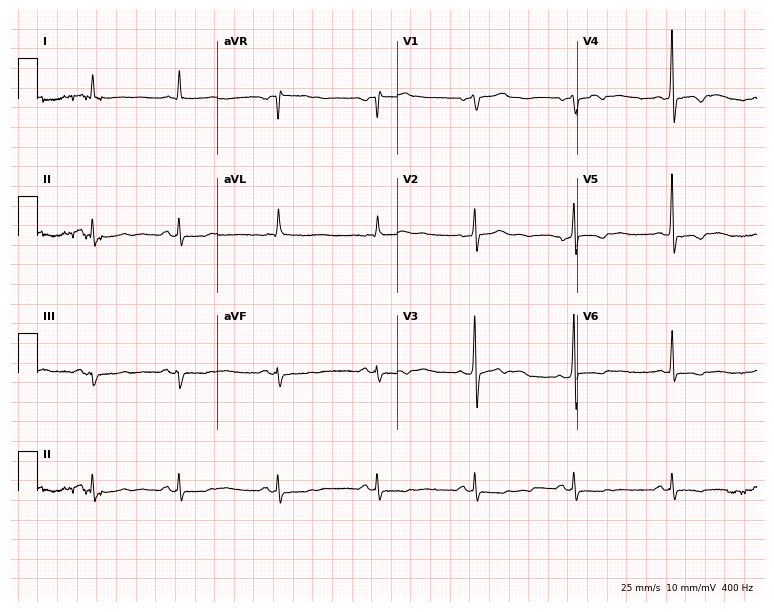
Standard 12-lead ECG recorded from a man, 67 years old. None of these six findings is recorded: first-degree AV block, right bundle branch block (RBBB), left bundle branch block (LBBB), sinus bradycardia, atrial fibrillation (AF), sinus tachycardia.